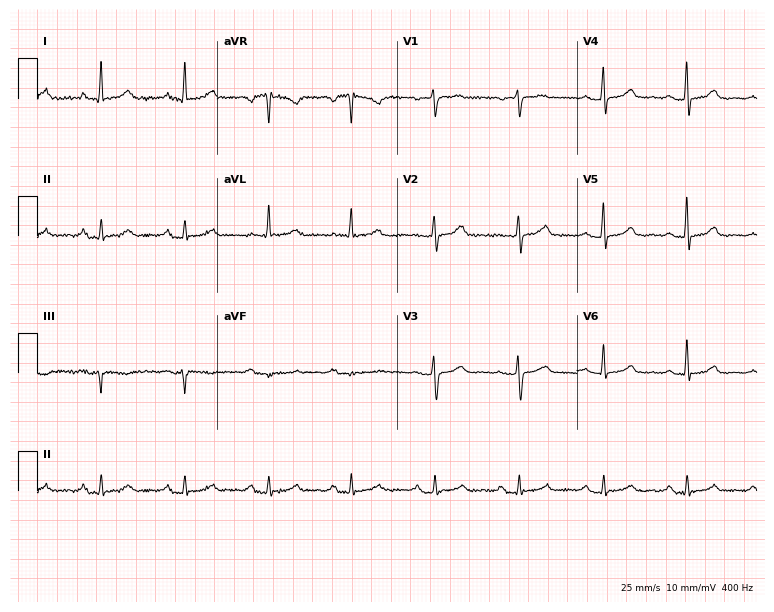
ECG — a female patient, 55 years old. Labelled as a normal ECG.